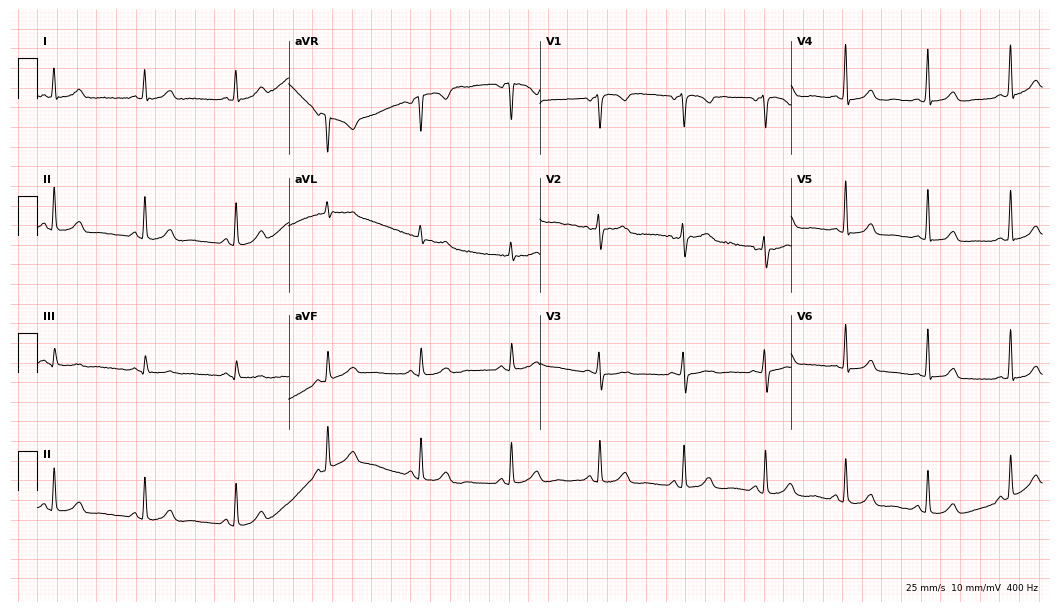
12-lead ECG (10.2-second recording at 400 Hz) from a female patient, 39 years old. Labelled as a normal ECG.